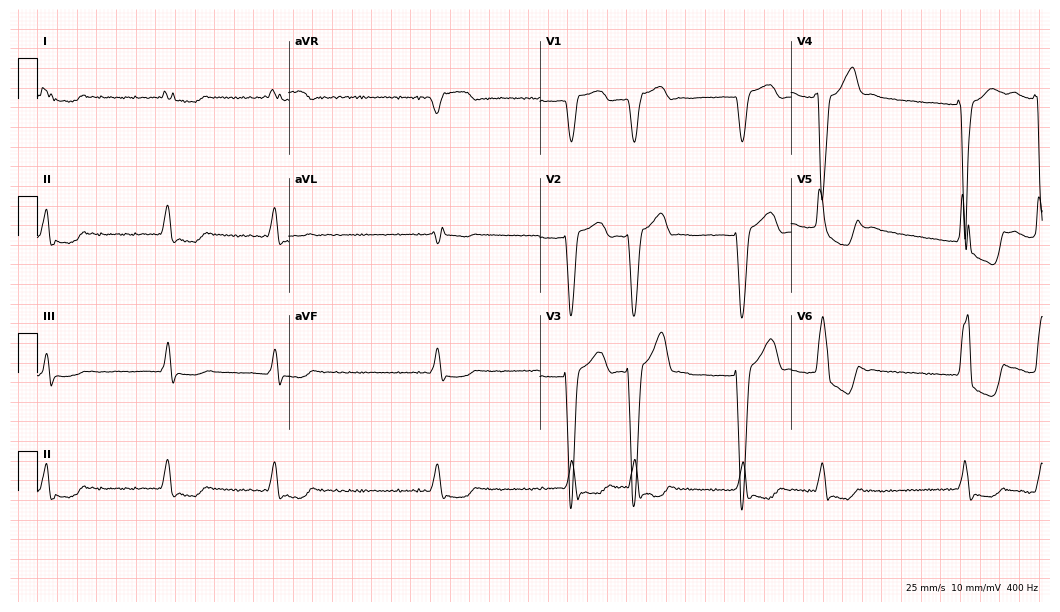
ECG (10.2-second recording at 400 Hz) — a male patient, 78 years old. Findings include left bundle branch block, atrial fibrillation.